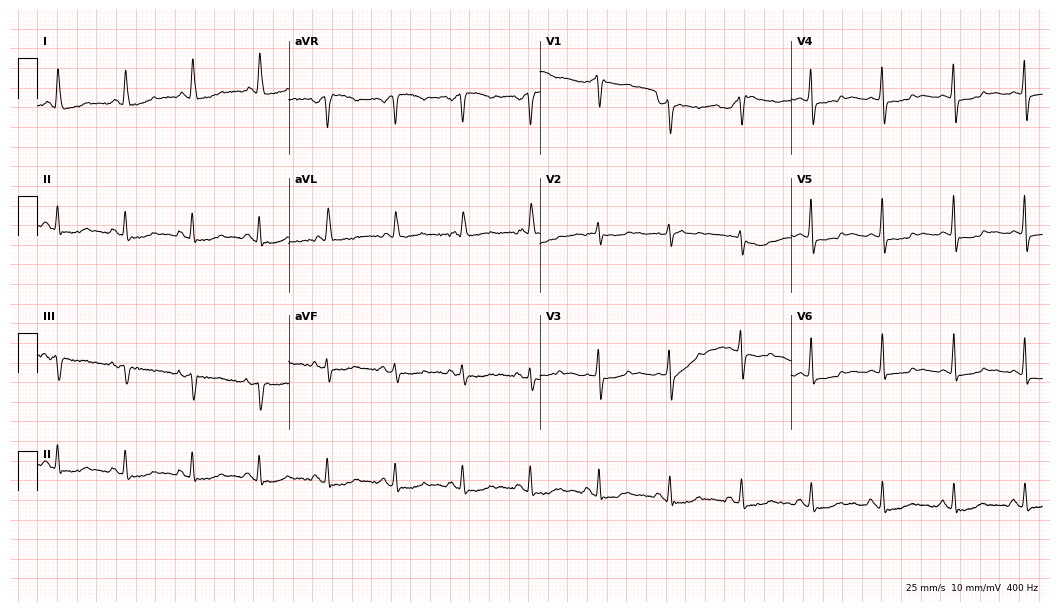
12-lead ECG (10.2-second recording at 400 Hz) from a female patient, 60 years old. Screened for six findings — first-degree AV block, right bundle branch block, left bundle branch block, sinus bradycardia, atrial fibrillation, sinus tachycardia — none is recorded.